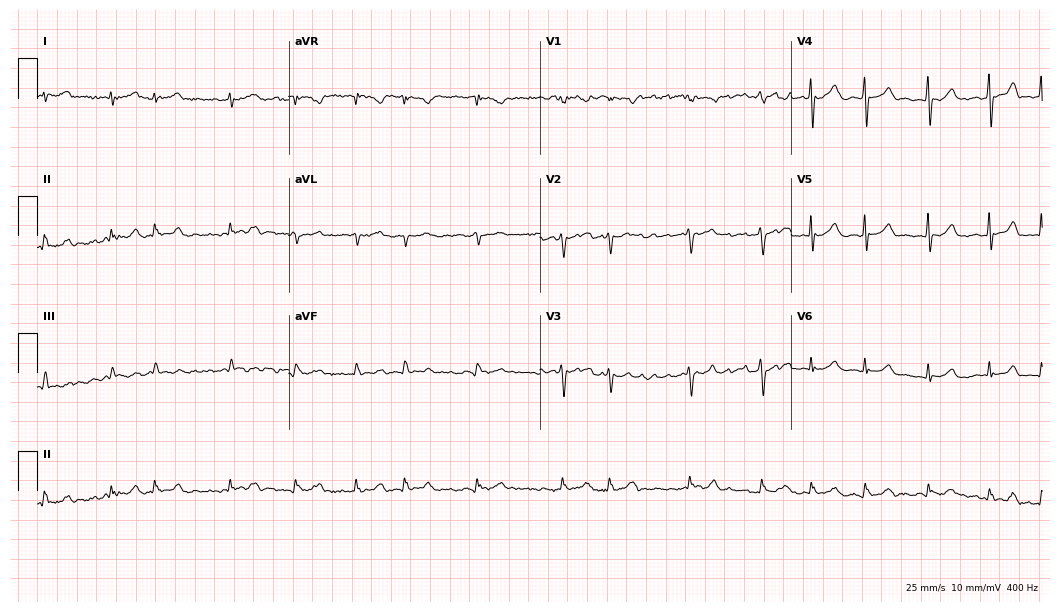
12-lead ECG from a 76-year-old woman (10.2-second recording at 400 Hz). No first-degree AV block, right bundle branch block (RBBB), left bundle branch block (LBBB), sinus bradycardia, atrial fibrillation (AF) or sinus tachycardia recorded for this tracing. Other findings, if any, are not listed.